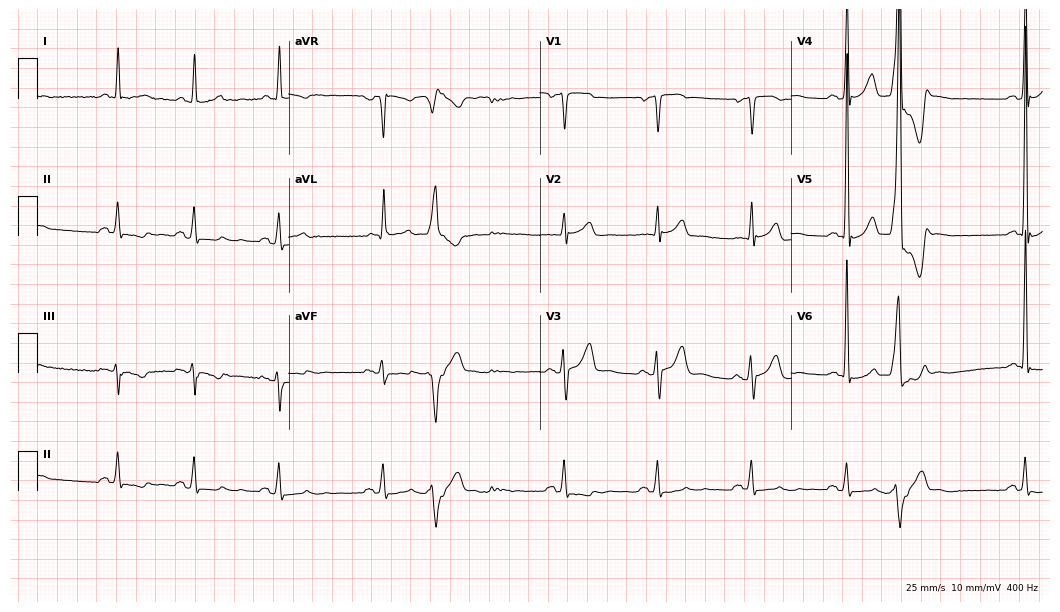
ECG — a 64-year-old male. Screened for six findings — first-degree AV block, right bundle branch block, left bundle branch block, sinus bradycardia, atrial fibrillation, sinus tachycardia — none is recorded.